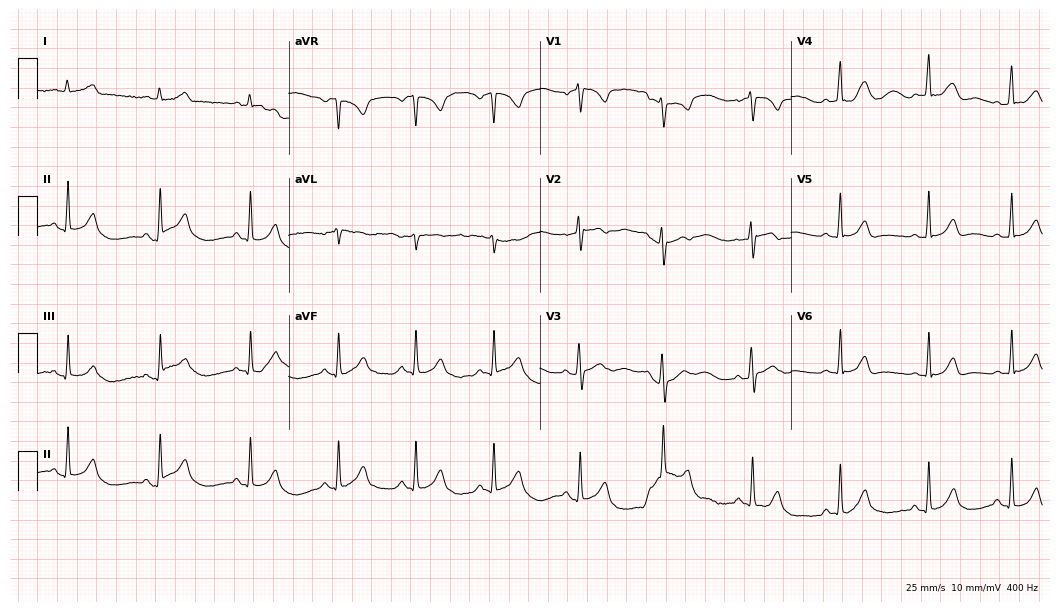
Standard 12-lead ECG recorded from a 19-year-old woman. Read as a normal ECG.